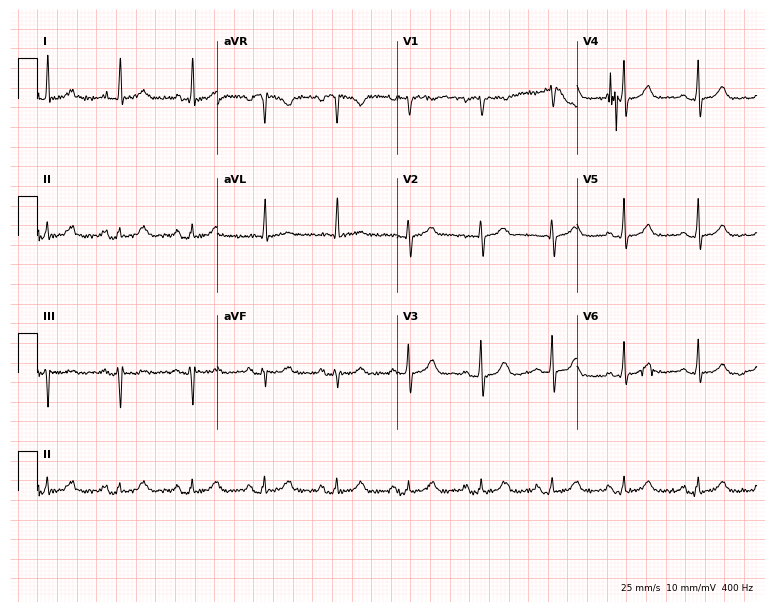
Resting 12-lead electrocardiogram (7.3-second recording at 400 Hz). Patient: a 79-year-old woman. None of these six findings is recorded: first-degree AV block, right bundle branch block, left bundle branch block, sinus bradycardia, atrial fibrillation, sinus tachycardia.